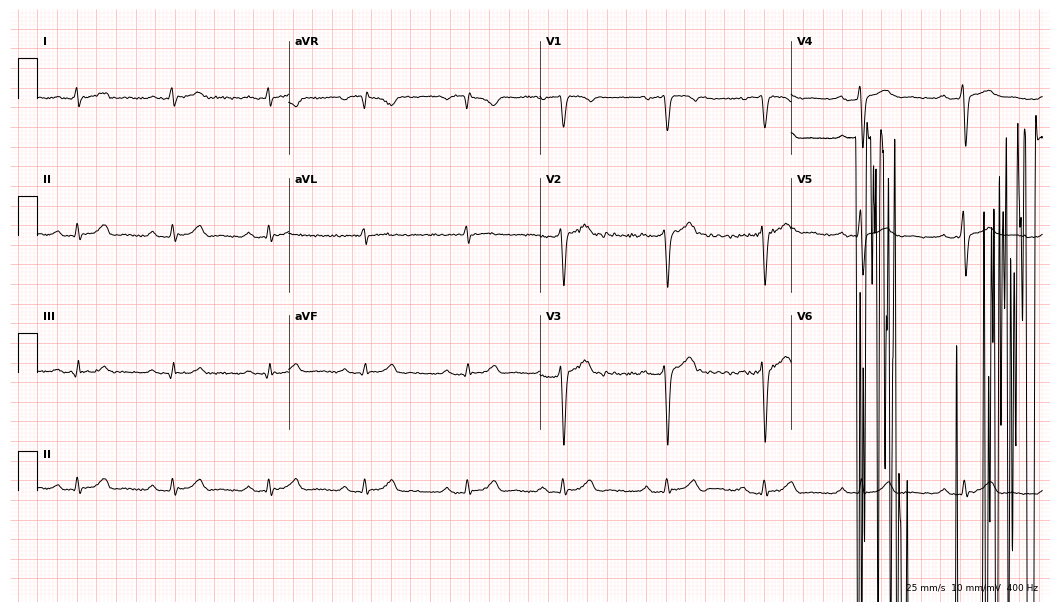
Standard 12-lead ECG recorded from a male patient, 33 years old. The tracing shows atrial fibrillation.